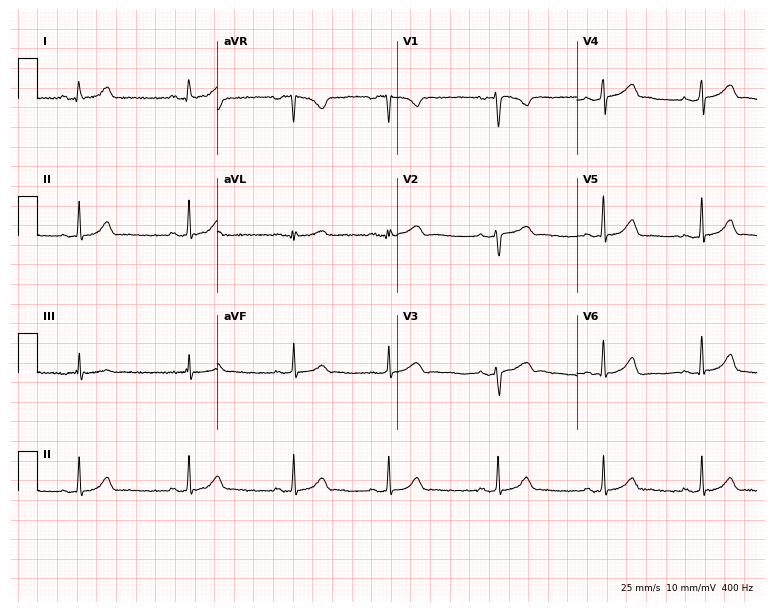
ECG (7.3-second recording at 400 Hz) — a 22-year-old female. Labelled as a normal ECG.